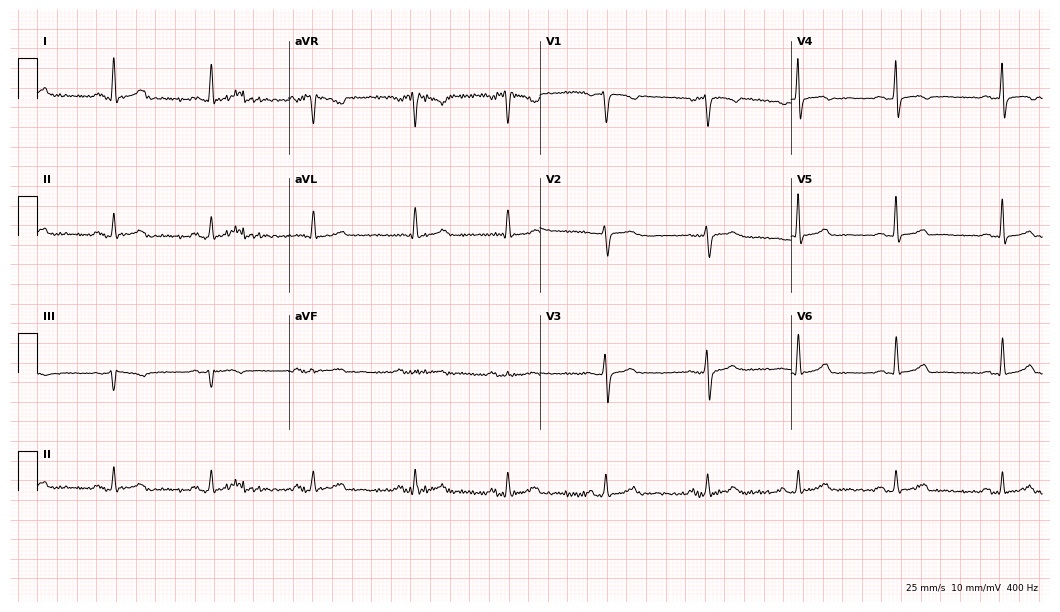
12-lead ECG (10.2-second recording at 400 Hz) from a female, 52 years old. Labelled as a normal ECG.